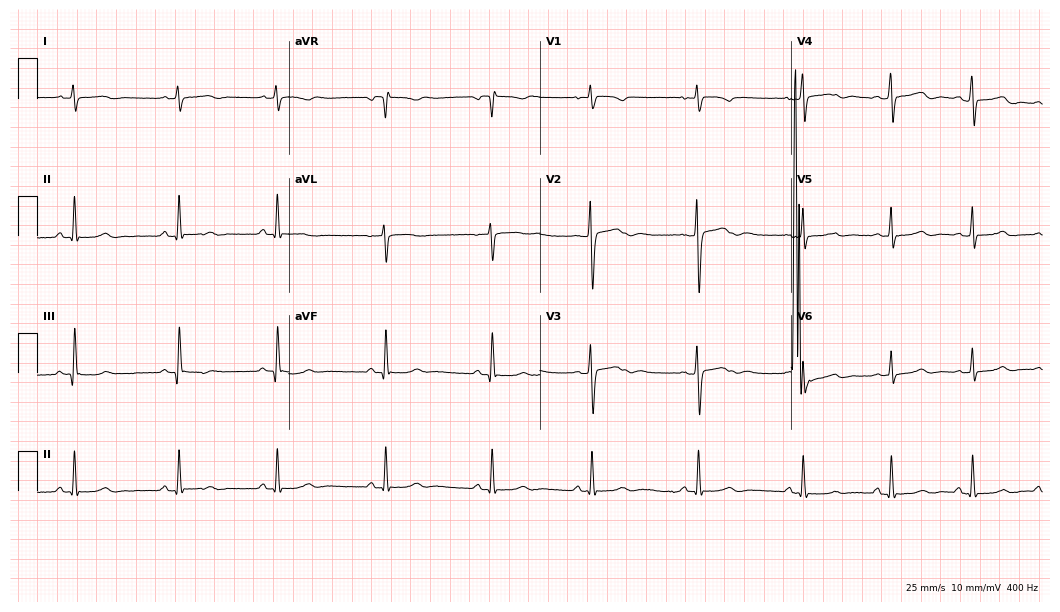
Resting 12-lead electrocardiogram. Patient: a 20-year-old female. None of these six findings is recorded: first-degree AV block, right bundle branch block, left bundle branch block, sinus bradycardia, atrial fibrillation, sinus tachycardia. Only these six findings were labelled.